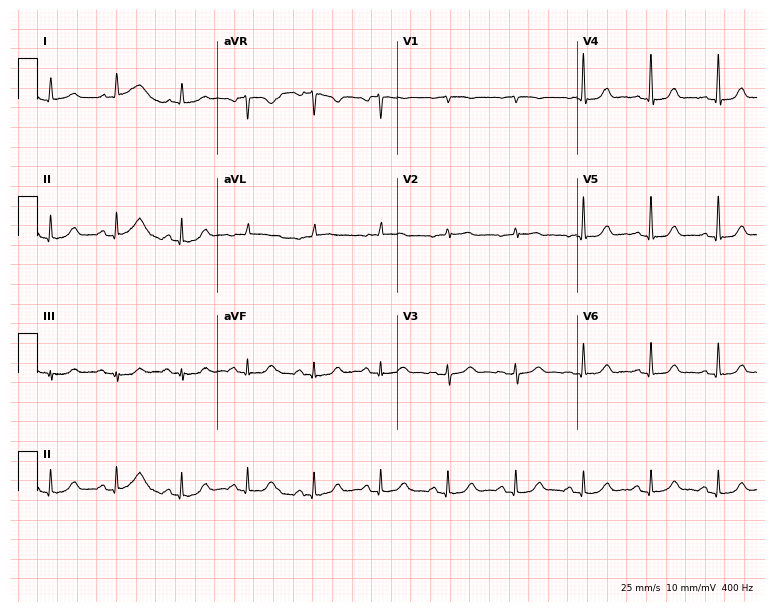
ECG — a 68-year-old female. Labelled as a normal ECG.